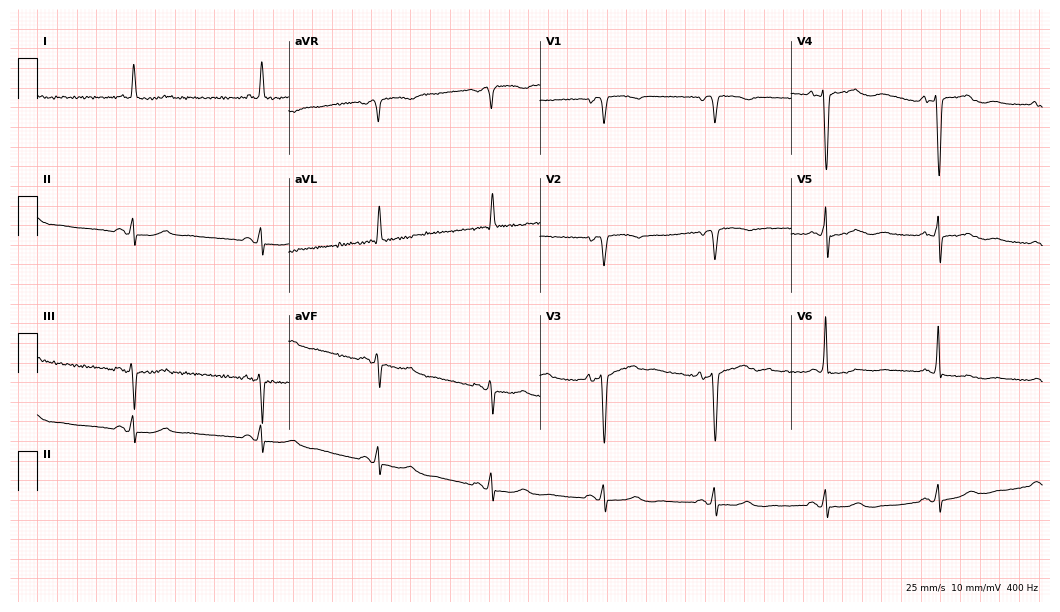
Resting 12-lead electrocardiogram (10.2-second recording at 400 Hz). Patient: an 81-year-old female. The tracing shows sinus bradycardia (a sinus rate of 50 beats per minute or less).